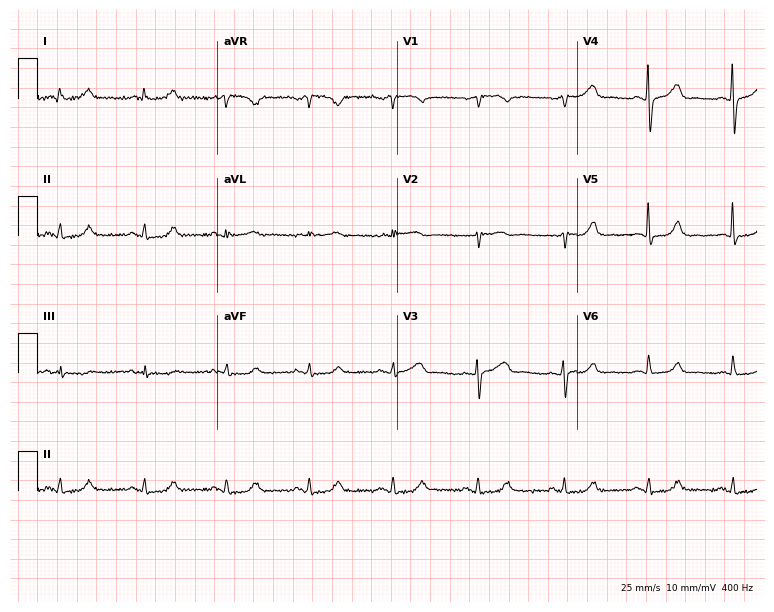
12-lead ECG from a female patient, 69 years old. Screened for six findings — first-degree AV block, right bundle branch block, left bundle branch block, sinus bradycardia, atrial fibrillation, sinus tachycardia — none is recorded.